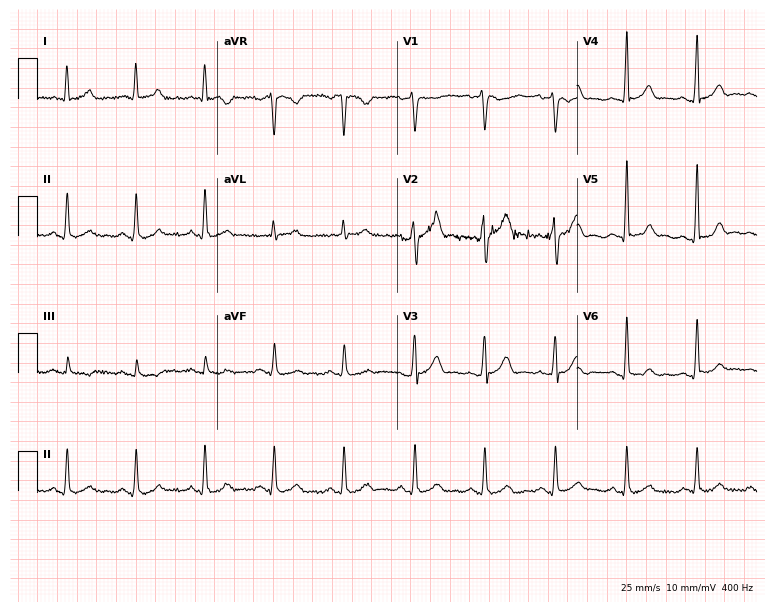
Resting 12-lead electrocardiogram (7.3-second recording at 400 Hz). Patient: a 45-year-old man. None of these six findings is recorded: first-degree AV block, right bundle branch block, left bundle branch block, sinus bradycardia, atrial fibrillation, sinus tachycardia. Other findings, if any, are not listed.